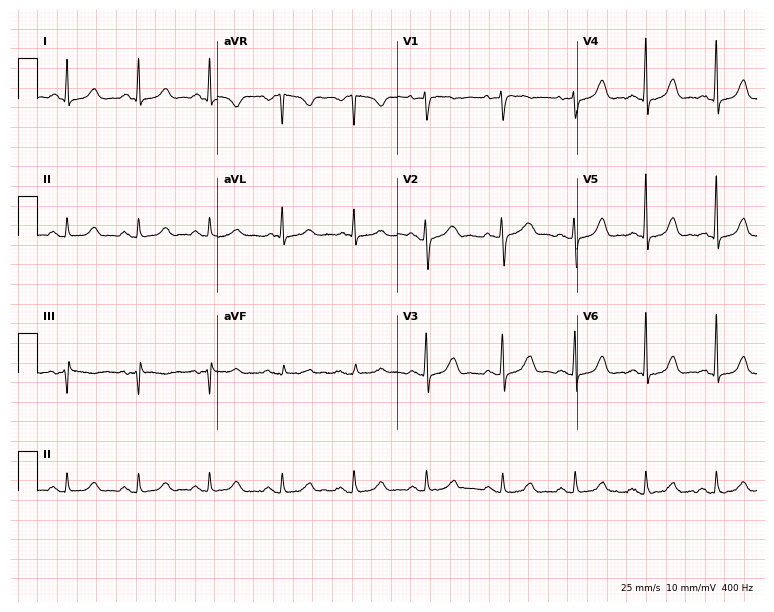
Resting 12-lead electrocardiogram. Patient: a 62-year-old woman. None of these six findings is recorded: first-degree AV block, right bundle branch block, left bundle branch block, sinus bradycardia, atrial fibrillation, sinus tachycardia. Only these six findings were labelled.